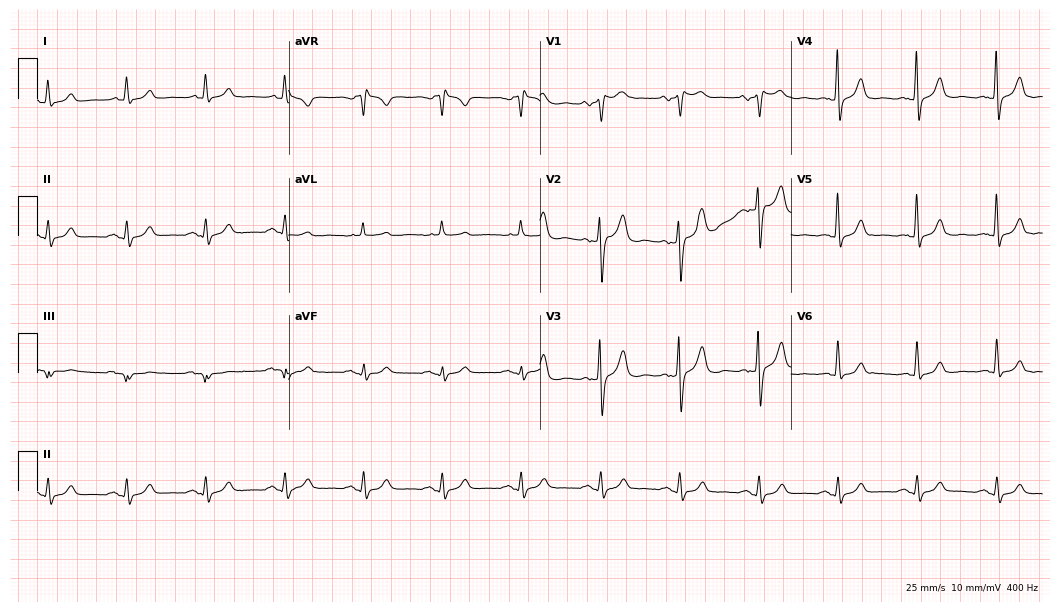
Electrocardiogram (10.2-second recording at 400 Hz), an 85-year-old male. Of the six screened findings (first-degree AV block, right bundle branch block (RBBB), left bundle branch block (LBBB), sinus bradycardia, atrial fibrillation (AF), sinus tachycardia), none is recorded.